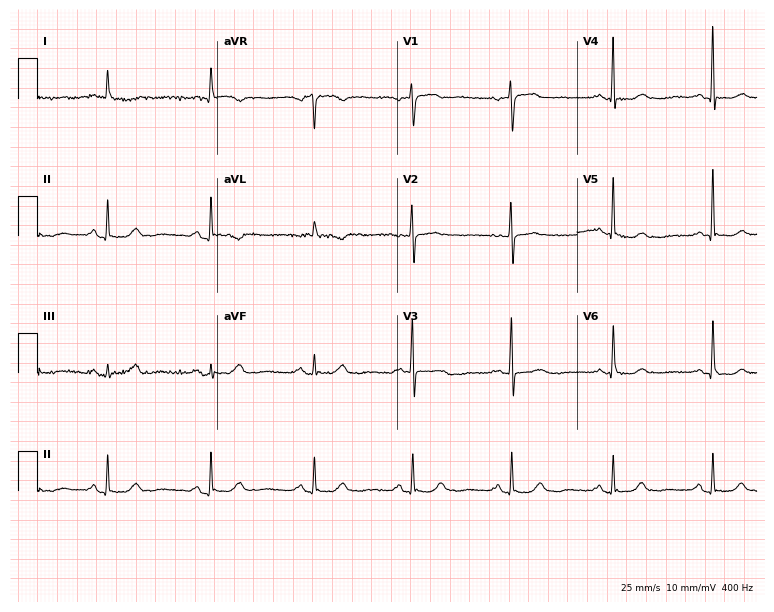
Electrocardiogram (7.3-second recording at 400 Hz), a 73-year-old female patient. Overall reading on record: normal ECG.